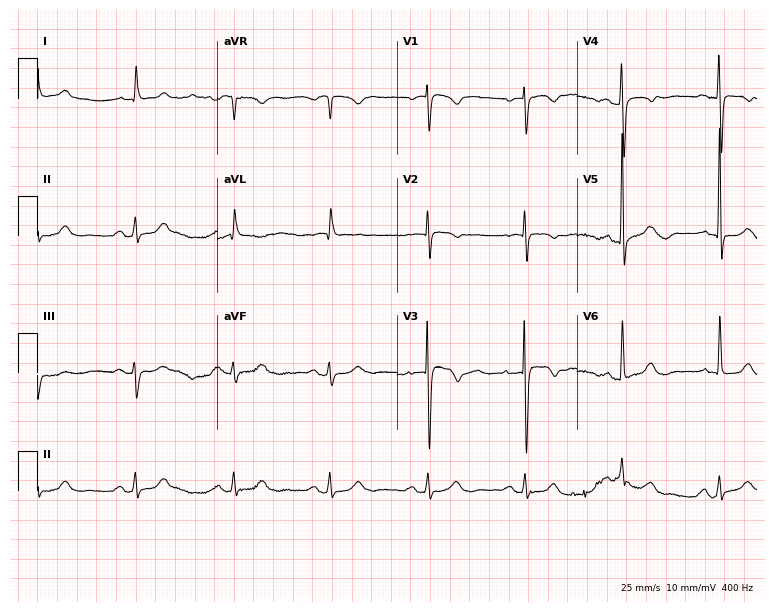
Electrocardiogram (7.3-second recording at 400 Hz), a 79-year-old female. Of the six screened findings (first-degree AV block, right bundle branch block (RBBB), left bundle branch block (LBBB), sinus bradycardia, atrial fibrillation (AF), sinus tachycardia), none is recorded. Only these six findings were labelled.